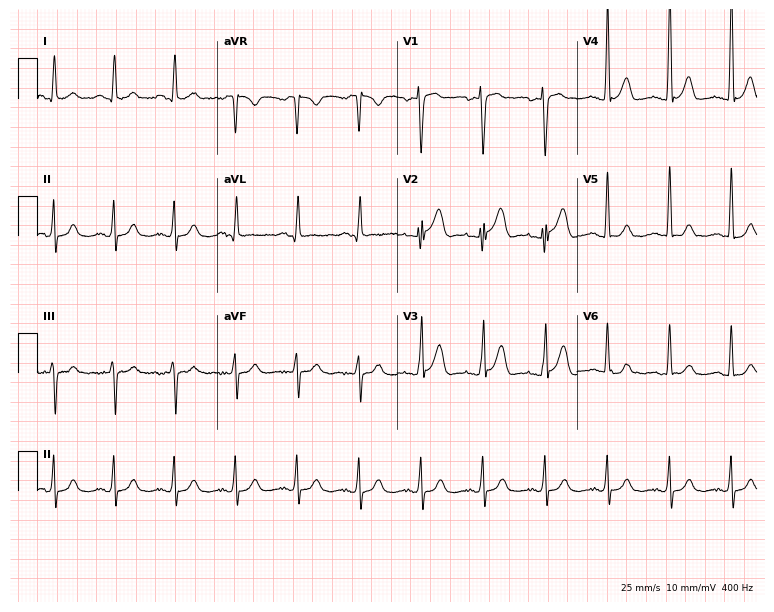
Electrocardiogram (7.3-second recording at 400 Hz), a woman, 58 years old. Overall reading on record: normal ECG.